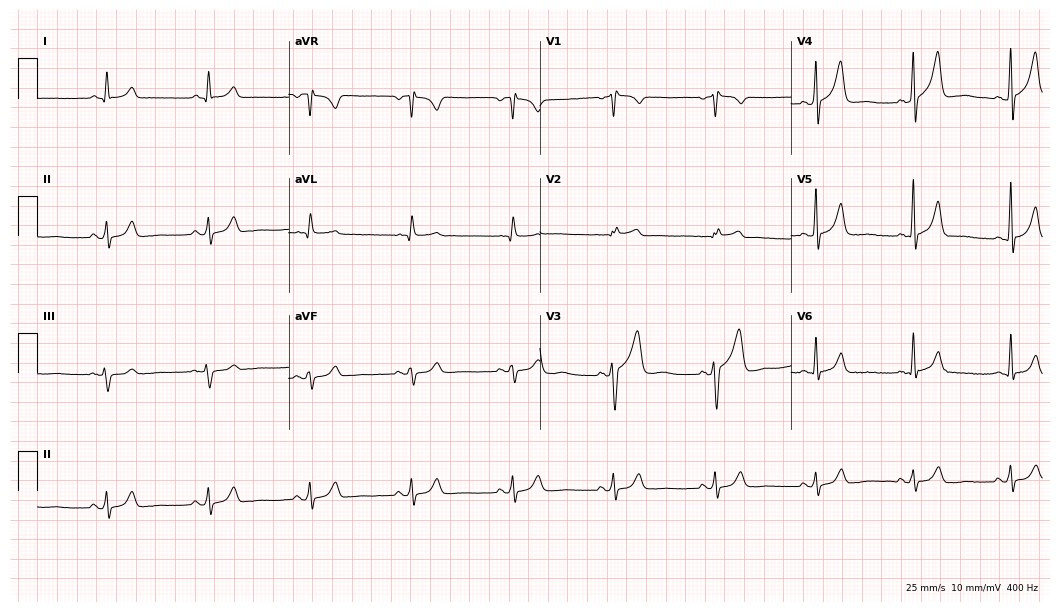
12-lead ECG from a male, 70 years old (10.2-second recording at 400 Hz). Recorded interpretation: within normal limits.